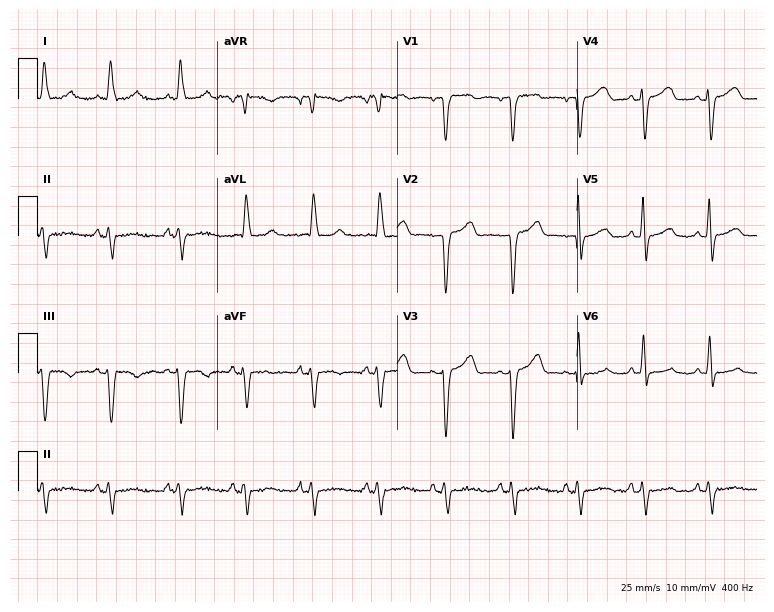
12-lead ECG (7.3-second recording at 400 Hz) from a woman, 84 years old. Screened for six findings — first-degree AV block, right bundle branch block, left bundle branch block, sinus bradycardia, atrial fibrillation, sinus tachycardia — none is recorded.